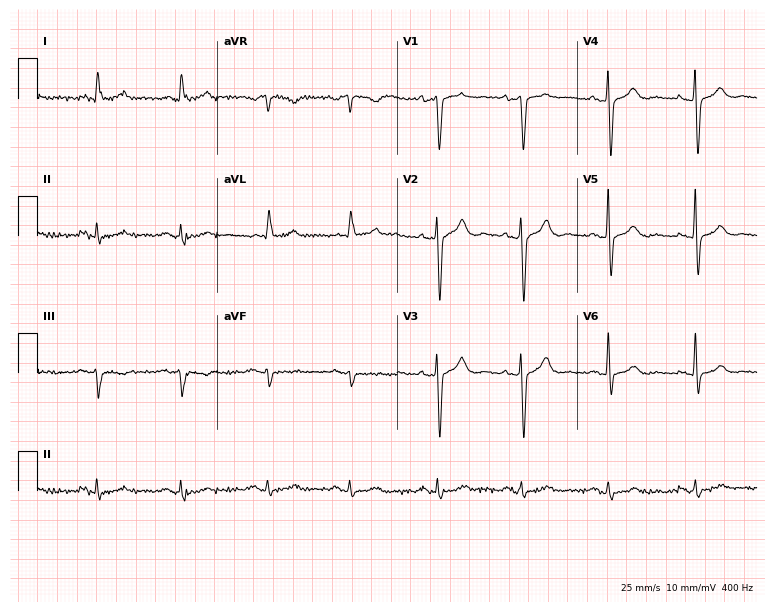
12-lead ECG (7.3-second recording at 400 Hz) from a man, 70 years old. Labelled as a normal ECG.